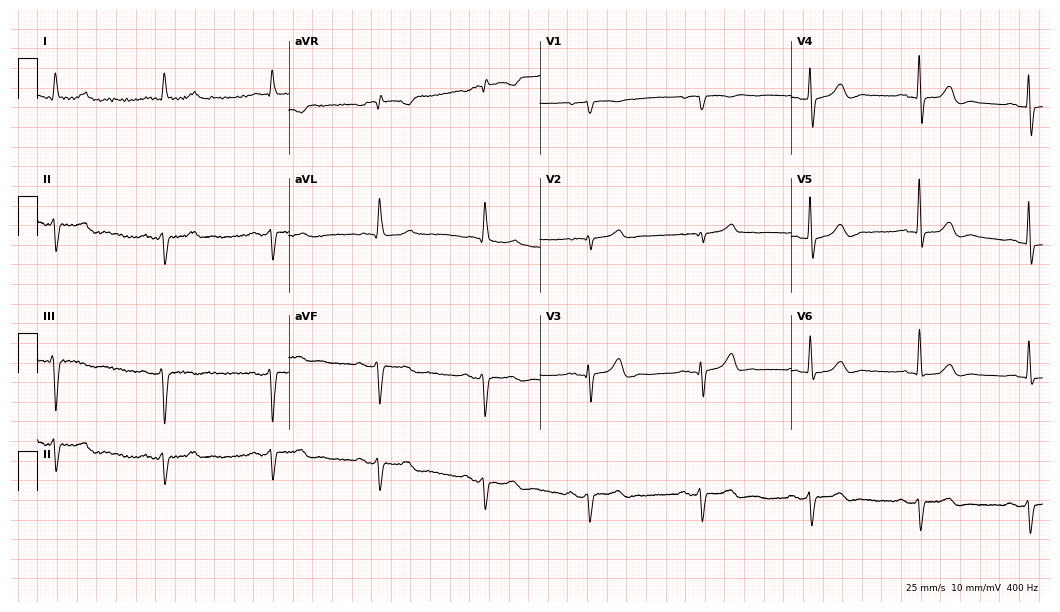
Resting 12-lead electrocardiogram (10.2-second recording at 400 Hz). Patient: a male, 81 years old. None of these six findings is recorded: first-degree AV block, right bundle branch block (RBBB), left bundle branch block (LBBB), sinus bradycardia, atrial fibrillation (AF), sinus tachycardia. Findings outside these six are not listed.